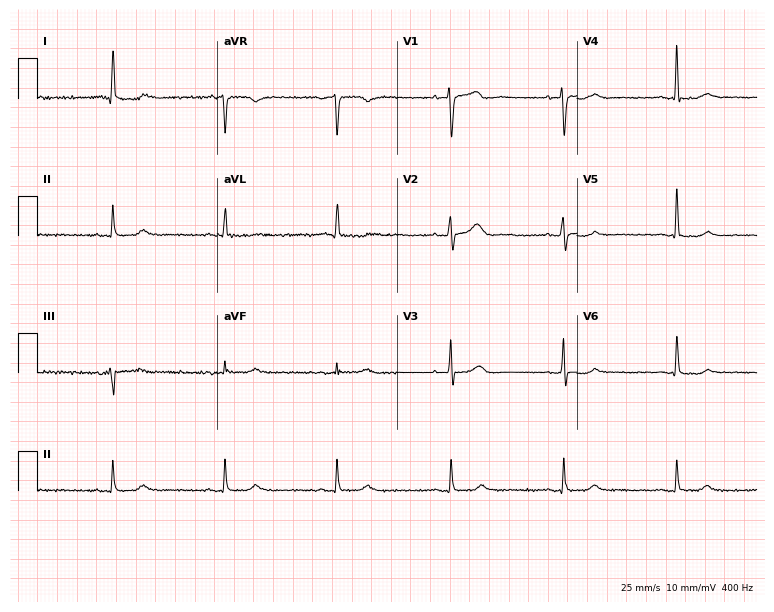
12-lead ECG from a female patient, 72 years old. No first-degree AV block, right bundle branch block (RBBB), left bundle branch block (LBBB), sinus bradycardia, atrial fibrillation (AF) or sinus tachycardia recorded for this tracing. Findings outside these six are not listed.